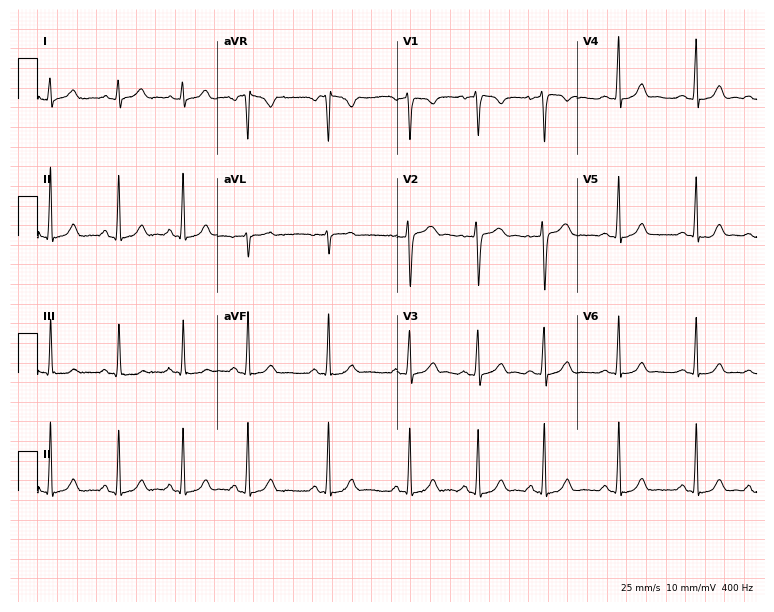
12-lead ECG from a female patient, 22 years old. Labelled as a normal ECG.